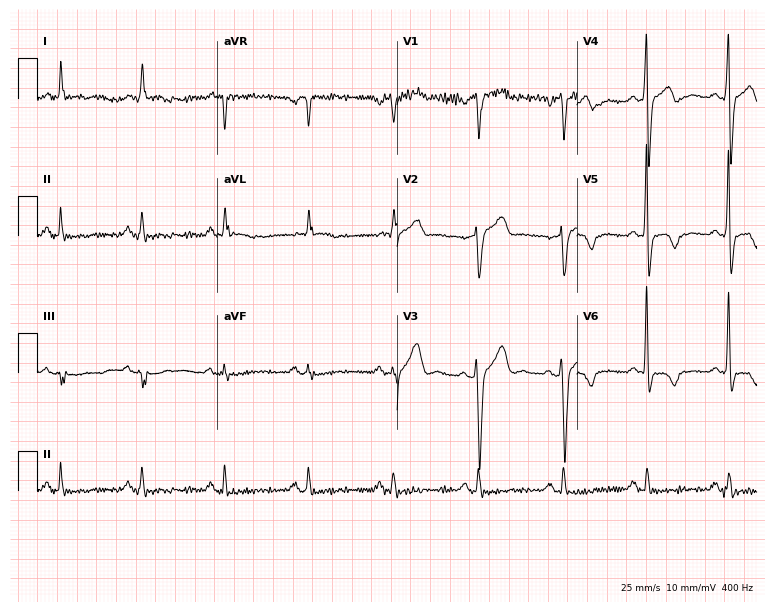
Standard 12-lead ECG recorded from a 67-year-old man (7.3-second recording at 400 Hz). None of these six findings is recorded: first-degree AV block, right bundle branch block, left bundle branch block, sinus bradycardia, atrial fibrillation, sinus tachycardia. Only these six findings were labelled.